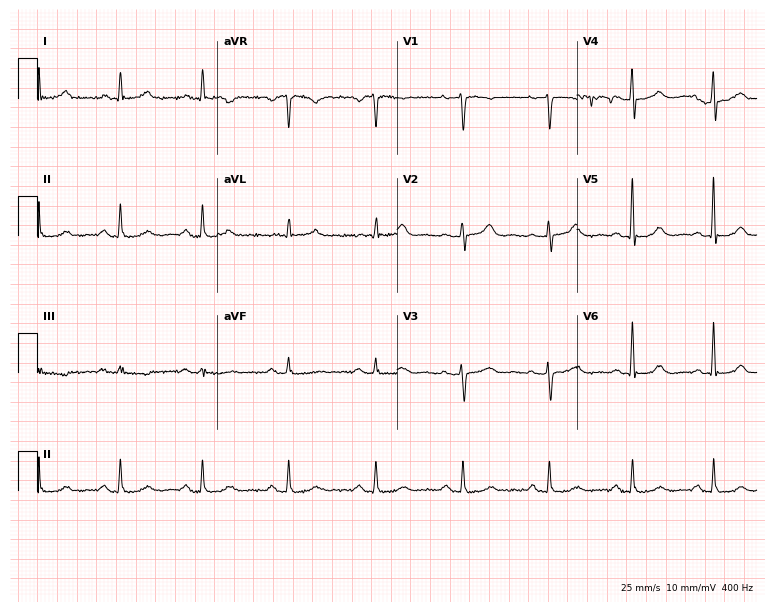
12-lead ECG (7.3-second recording at 400 Hz) from a woman, 50 years old. Labelled as a normal ECG.